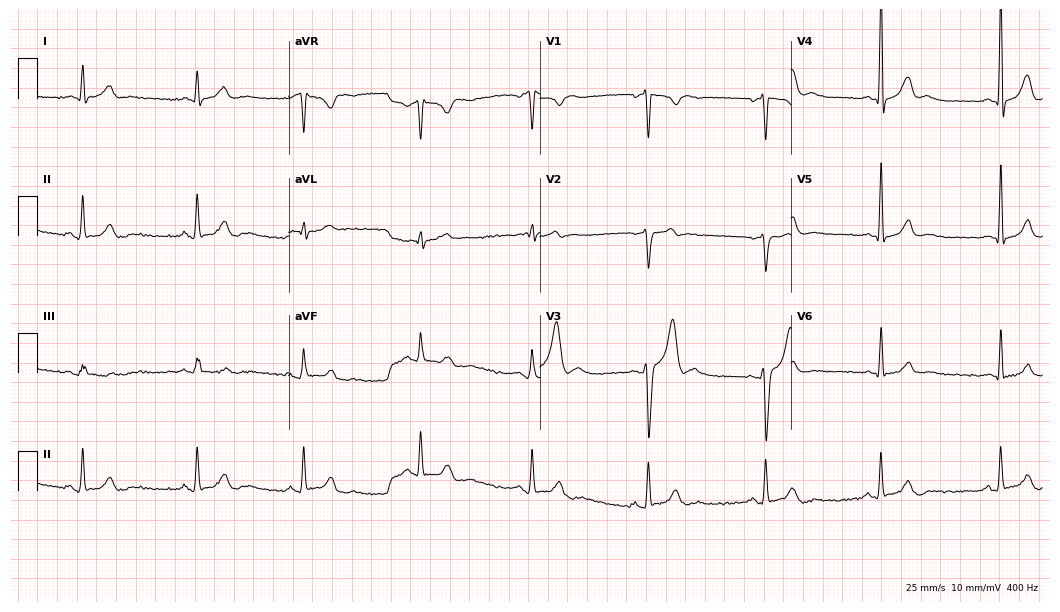
12-lead ECG from a man, 19 years old (10.2-second recording at 400 Hz). Recorded interpretation: within normal limits.